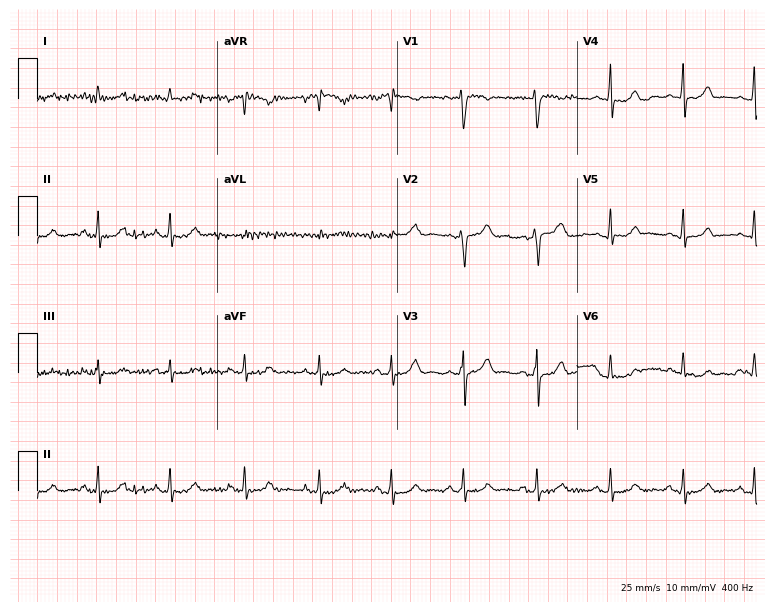
Electrocardiogram (7.3-second recording at 400 Hz), a 30-year-old female. Overall reading on record: normal ECG.